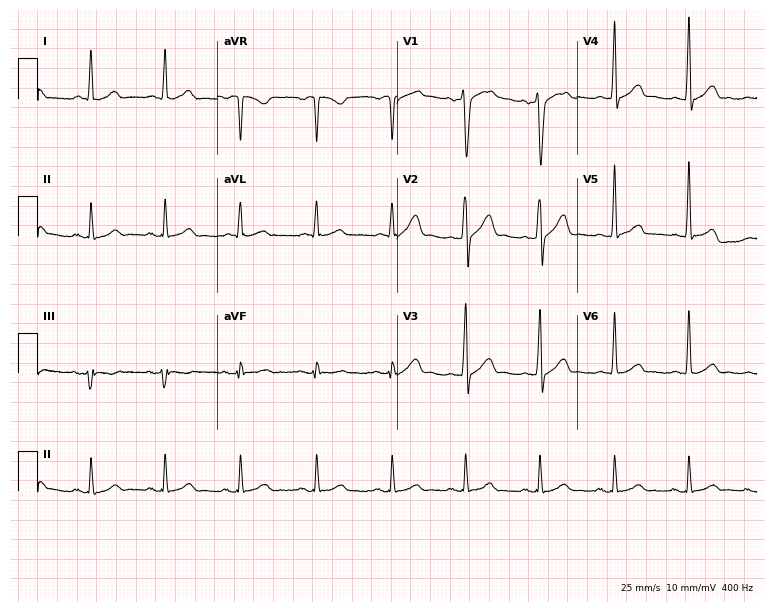
ECG — a 39-year-old male. Labelled as a normal ECG.